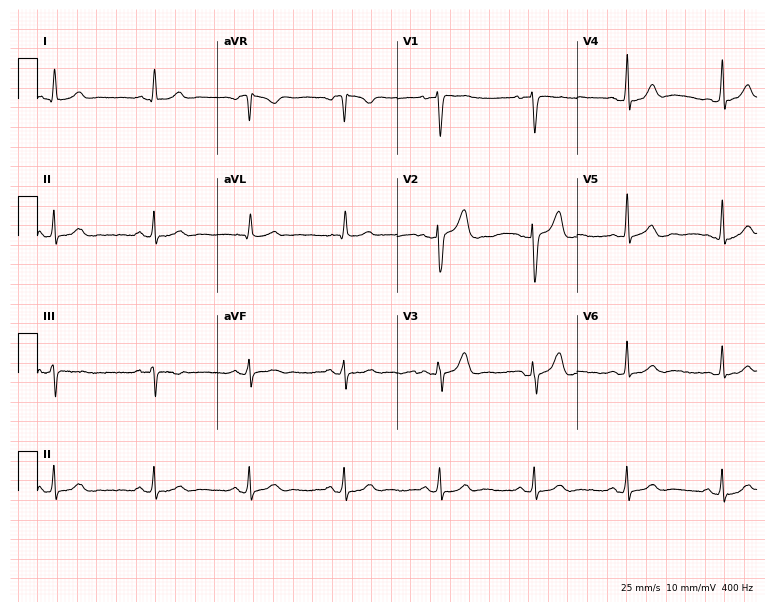
Electrocardiogram (7.3-second recording at 400 Hz), a man, 49 years old. Overall reading on record: normal ECG.